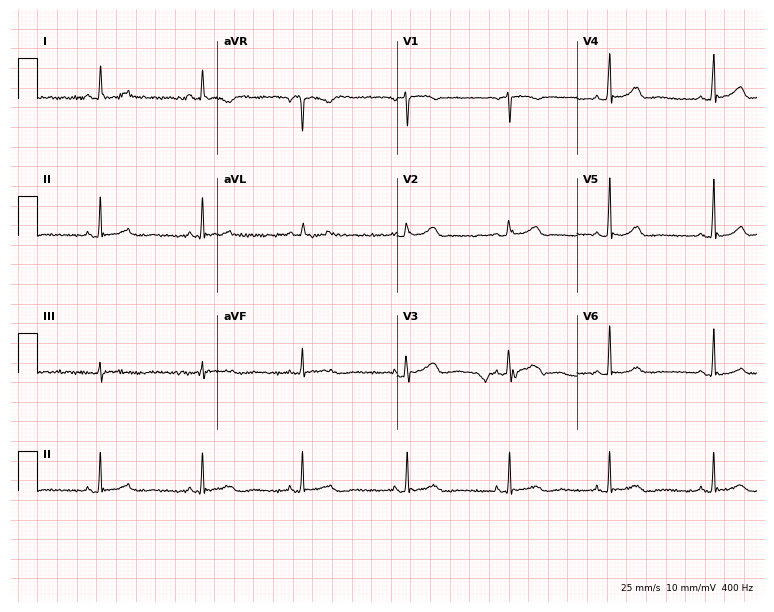
Standard 12-lead ECG recorded from a female patient, 56 years old (7.3-second recording at 400 Hz). None of these six findings is recorded: first-degree AV block, right bundle branch block (RBBB), left bundle branch block (LBBB), sinus bradycardia, atrial fibrillation (AF), sinus tachycardia.